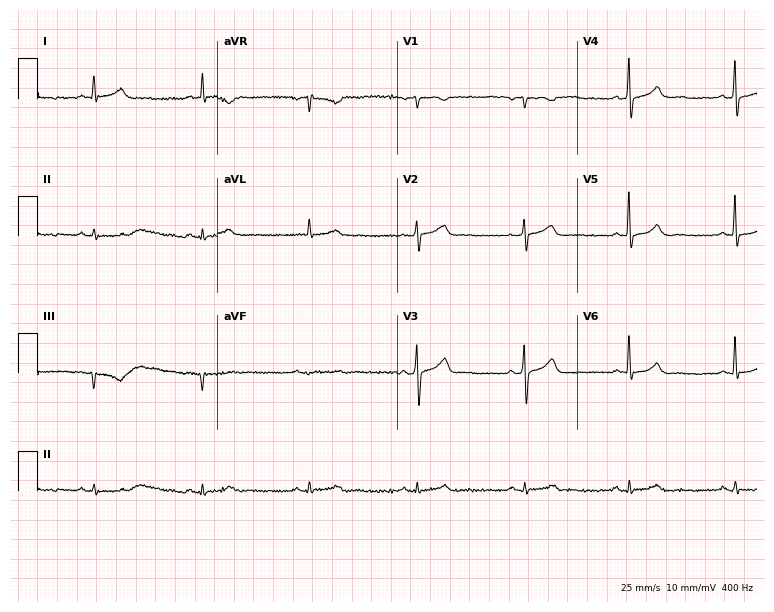
Standard 12-lead ECG recorded from a male, 71 years old. None of these six findings is recorded: first-degree AV block, right bundle branch block, left bundle branch block, sinus bradycardia, atrial fibrillation, sinus tachycardia. Only these six findings were labelled.